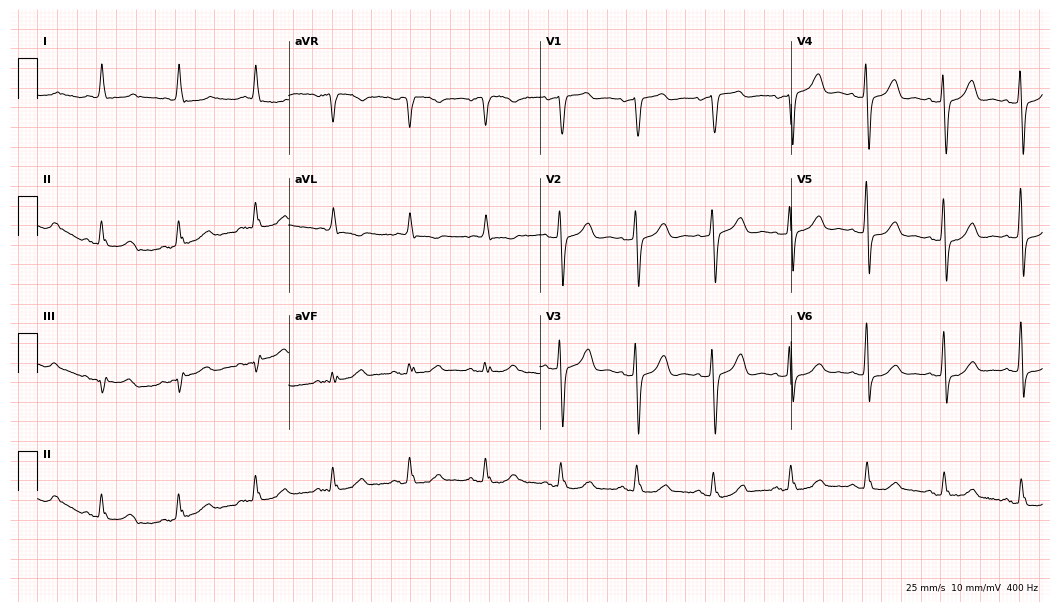
Standard 12-lead ECG recorded from an 84-year-old female patient. None of these six findings is recorded: first-degree AV block, right bundle branch block, left bundle branch block, sinus bradycardia, atrial fibrillation, sinus tachycardia.